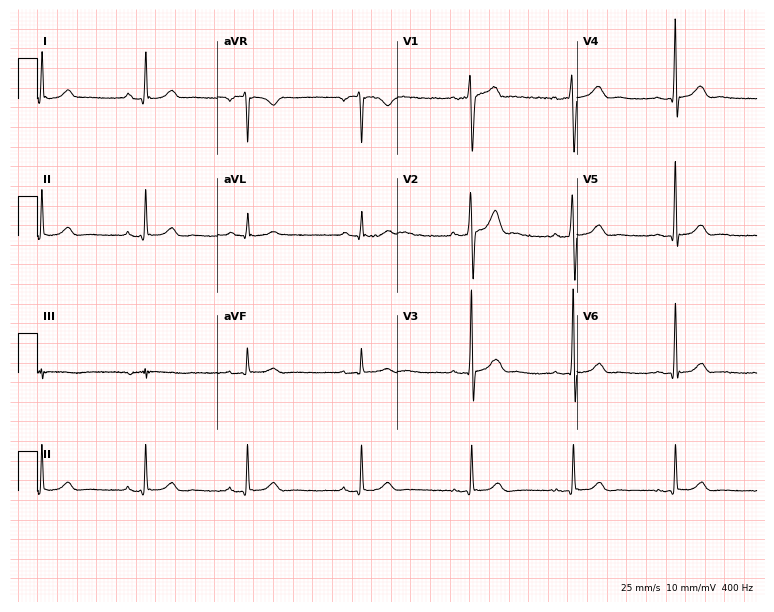
Electrocardiogram, a male patient, 51 years old. Overall reading on record: normal ECG.